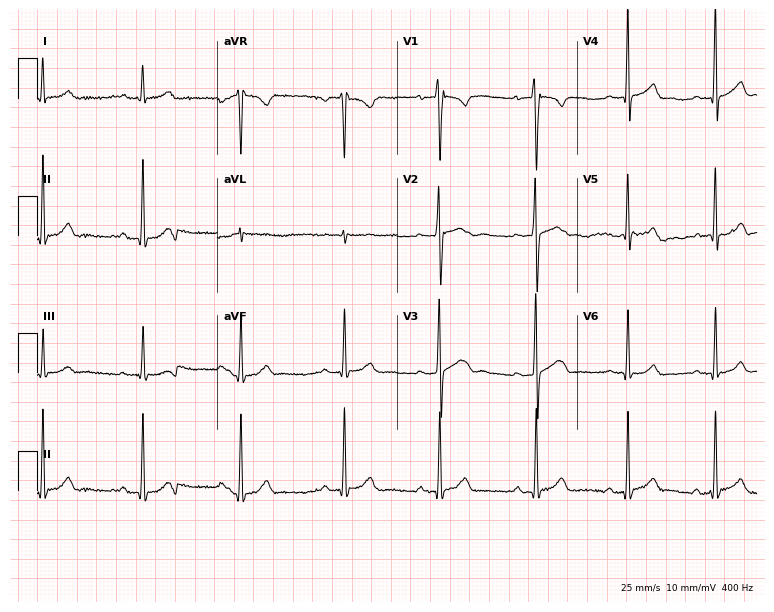
ECG (7.3-second recording at 400 Hz) — a male, 18 years old. Screened for six findings — first-degree AV block, right bundle branch block, left bundle branch block, sinus bradycardia, atrial fibrillation, sinus tachycardia — none is recorded.